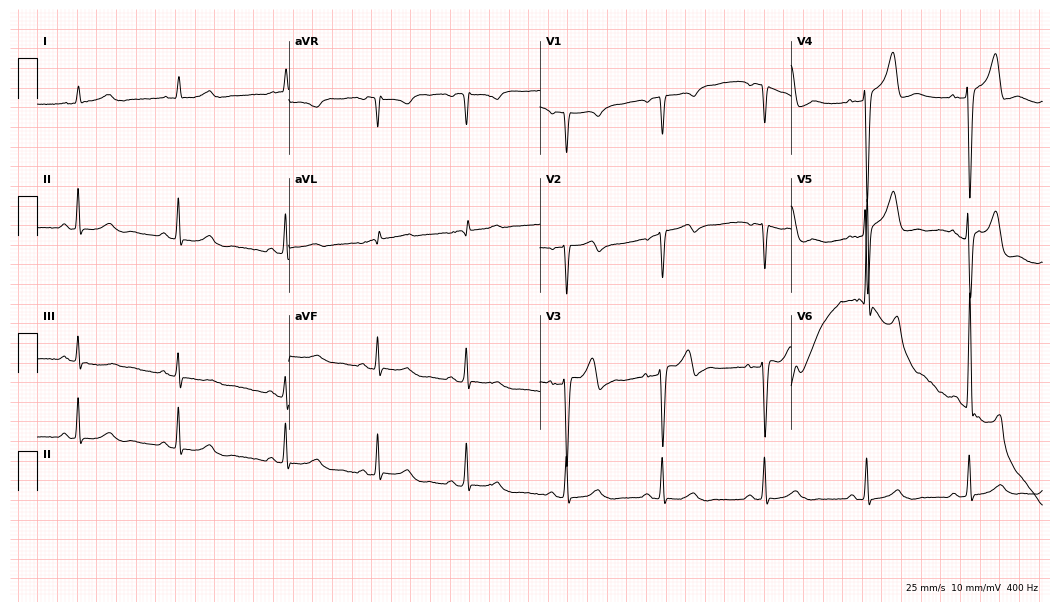
ECG — a 78-year-old male patient. Screened for six findings — first-degree AV block, right bundle branch block (RBBB), left bundle branch block (LBBB), sinus bradycardia, atrial fibrillation (AF), sinus tachycardia — none is recorded. Only these six findings were labelled.